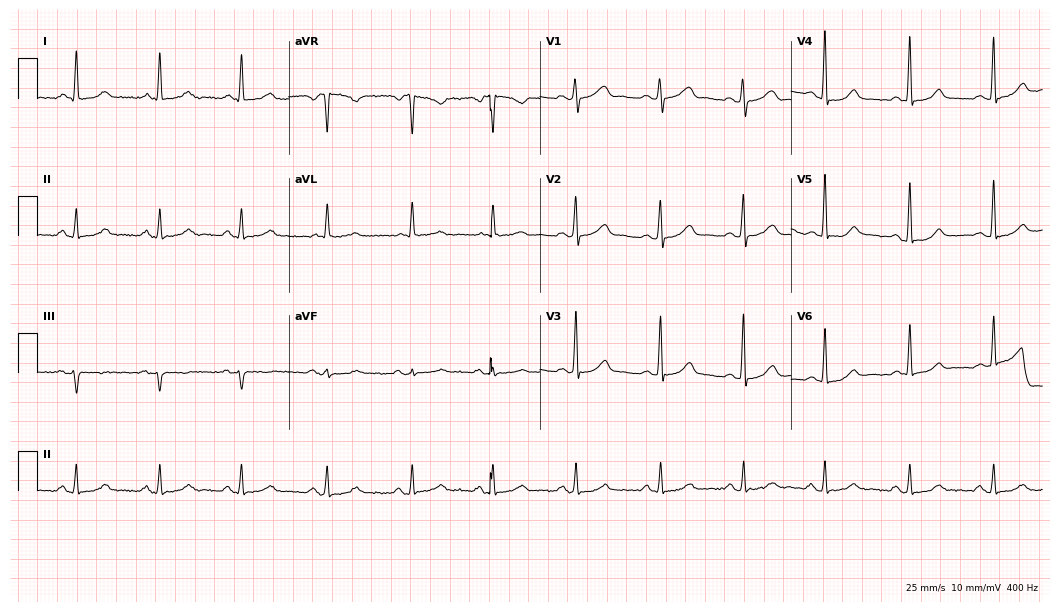
Electrocardiogram, a woman, 53 years old. Overall reading on record: normal ECG.